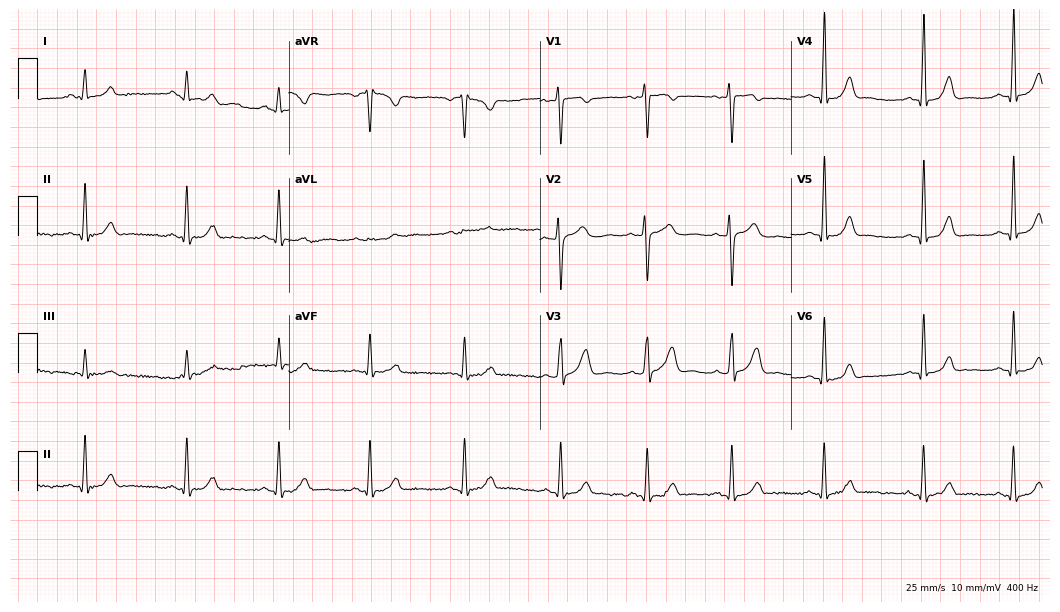
Electrocardiogram, a 27-year-old woman. Overall reading on record: normal ECG.